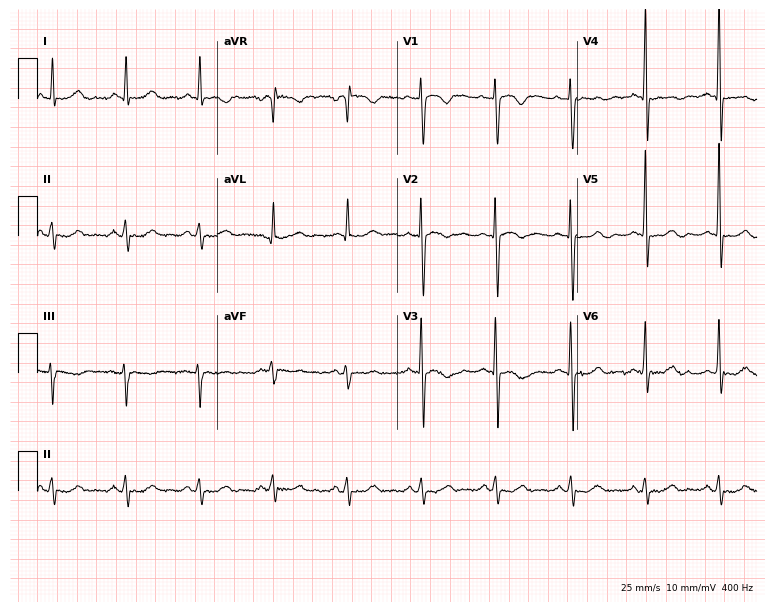
ECG — a male, 62 years old. Screened for six findings — first-degree AV block, right bundle branch block, left bundle branch block, sinus bradycardia, atrial fibrillation, sinus tachycardia — none is recorded. Other findings, if any, are not listed.